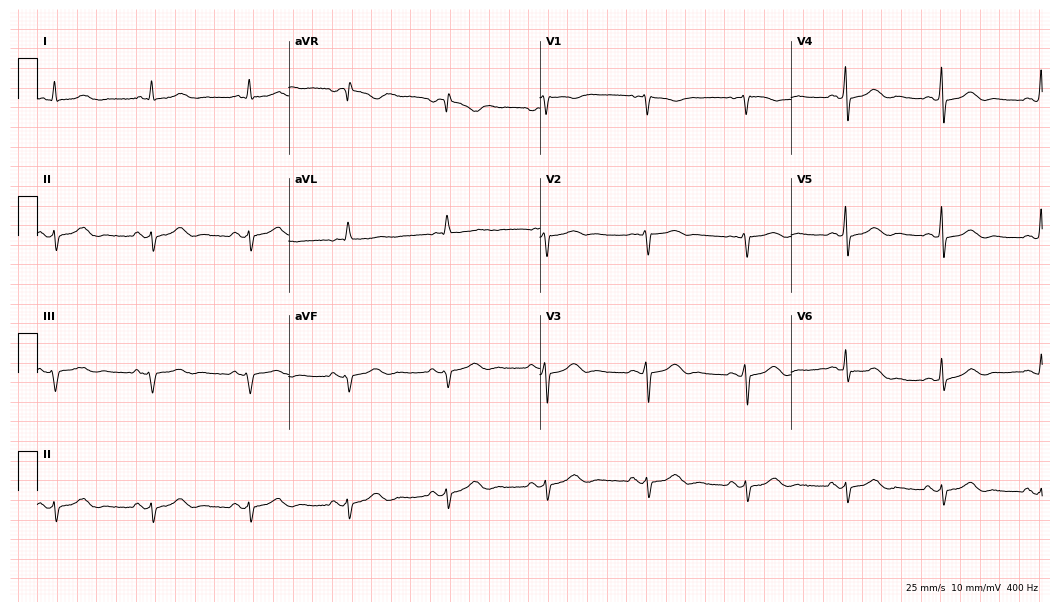
12-lead ECG from a female patient, 76 years old (10.2-second recording at 400 Hz). No first-degree AV block, right bundle branch block, left bundle branch block, sinus bradycardia, atrial fibrillation or sinus tachycardia recorded for this tracing. Only these six findings were labelled.